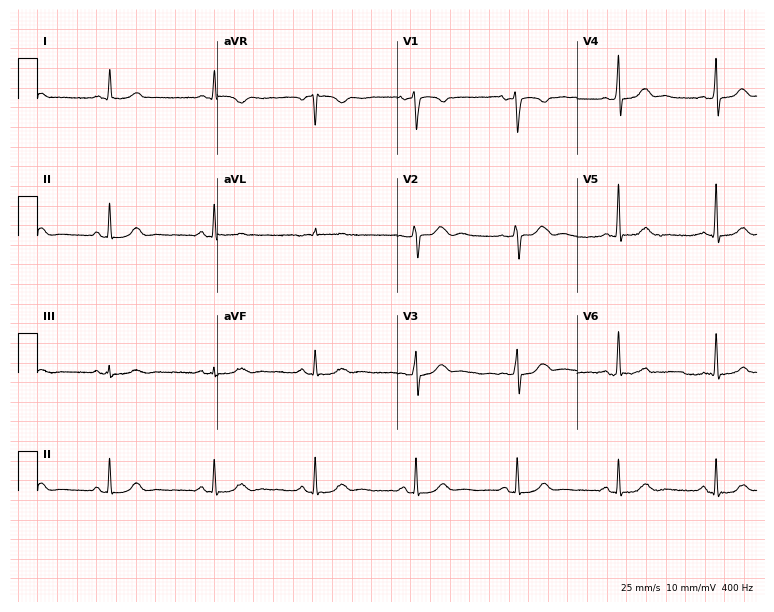
Resting 12-lead electrocardiogram. Patient: a 58-year-old female. None of these six findings is recorded: first-degree AV block, right bundle branch block, left bundle branch block, sinus bradycardia, atrial fibrillation, sinus tachycardia. Other findings, if any, are not listed.